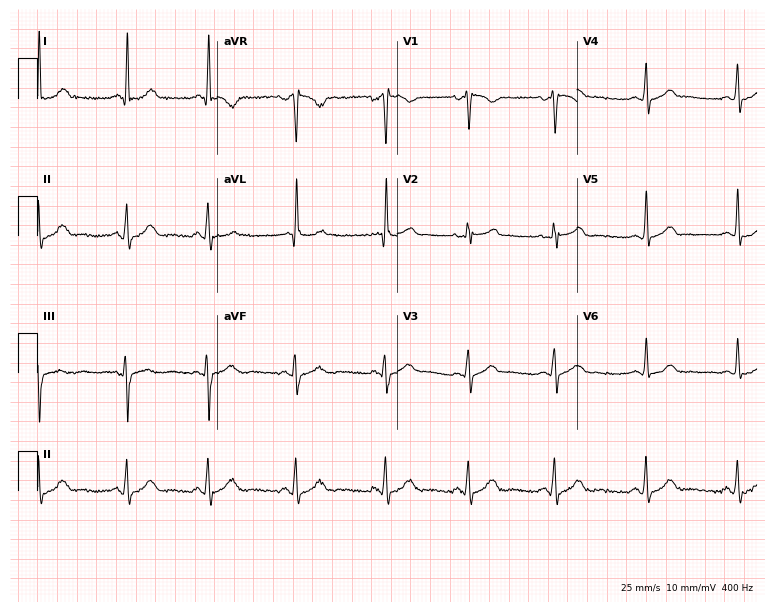
ECG — a woman, 33 years old. Labelled as a normal ECG.